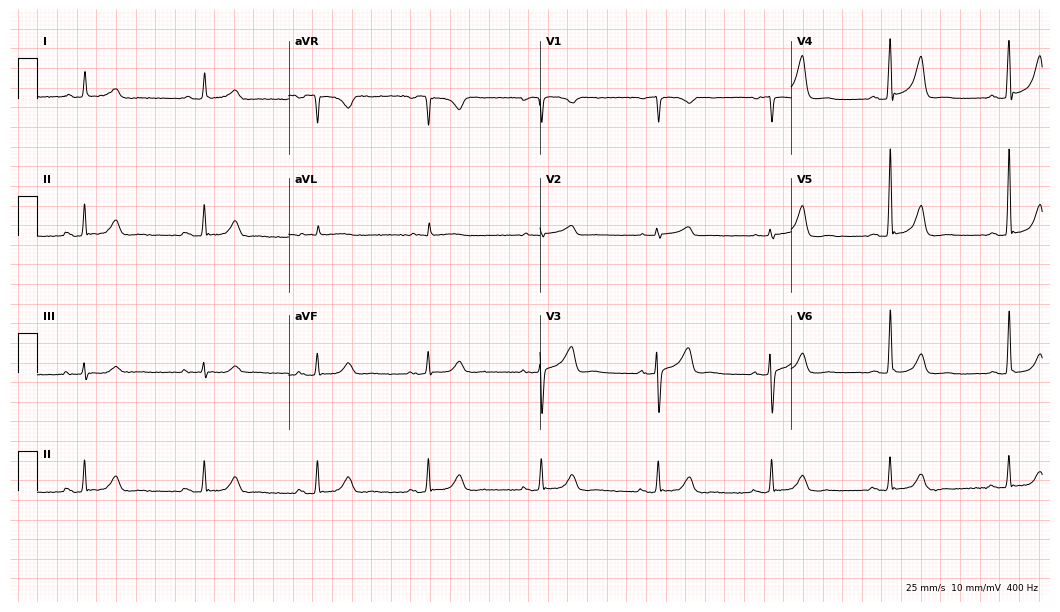
12-lead ECG from an 80-year-old woman. Recorded interpretation: within normal limits.